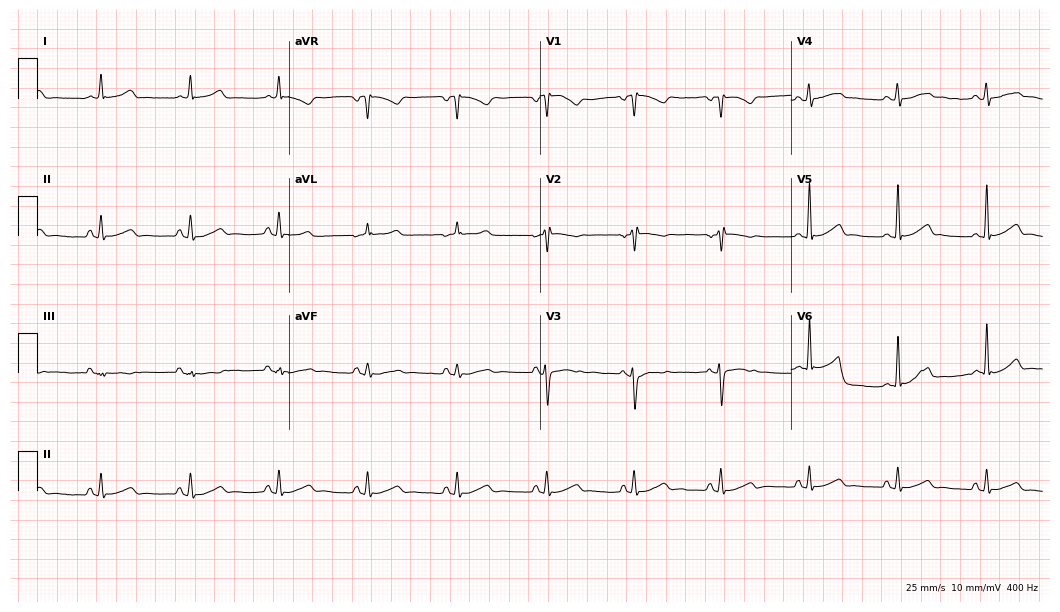
ECG (10.2-second recording at 400 Hz) — a female patient, 26 years old. Screened for six findings — first-degree AV block, right bundle branch block, left bundle branch block, sinus bradycardia, atrial fibrillation, sinus tachycardia — none is recorded. Other findings, if any, are not listed.